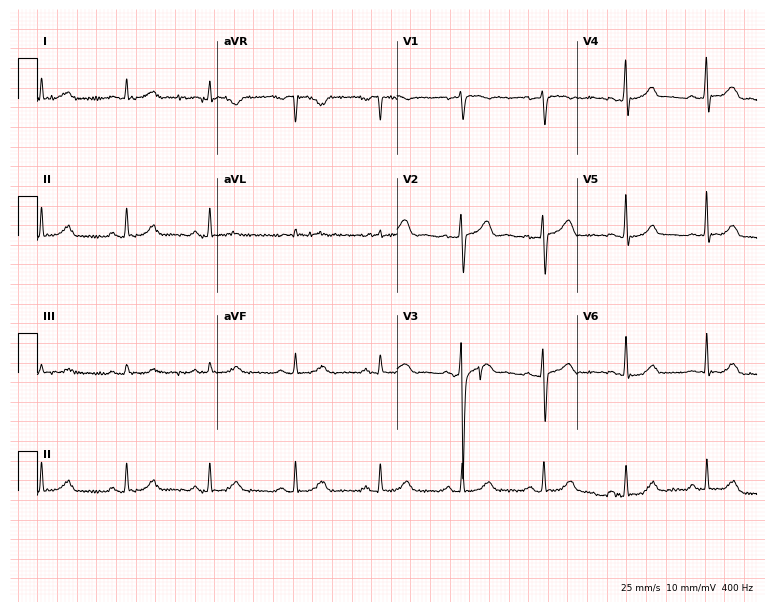
12-lead ECG from a 43-year-old man (7.3-second recording at 400 Hz). Recorded interpretation: within normal limits.